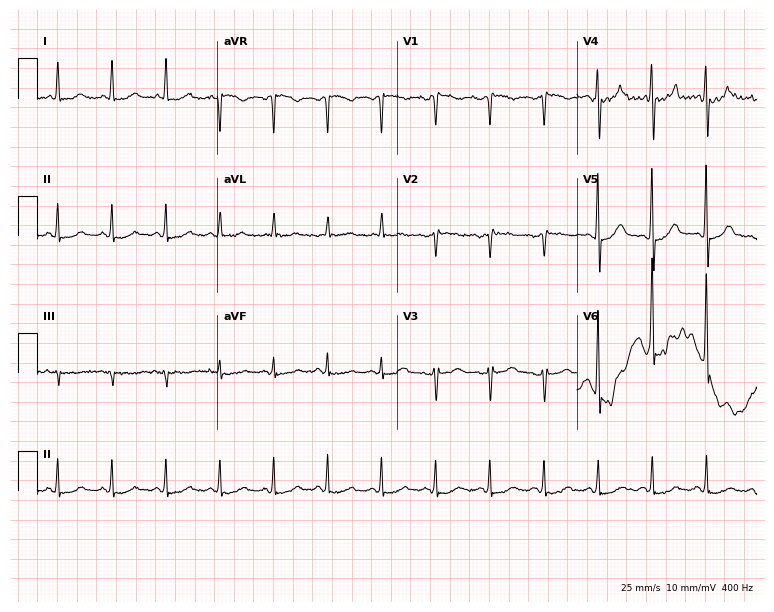
Standard 12-lead ECG recorded from an 81-year-old male patient. The tracing shows sinus tachycardia (a sinus rate of 100 beats per minute or more).